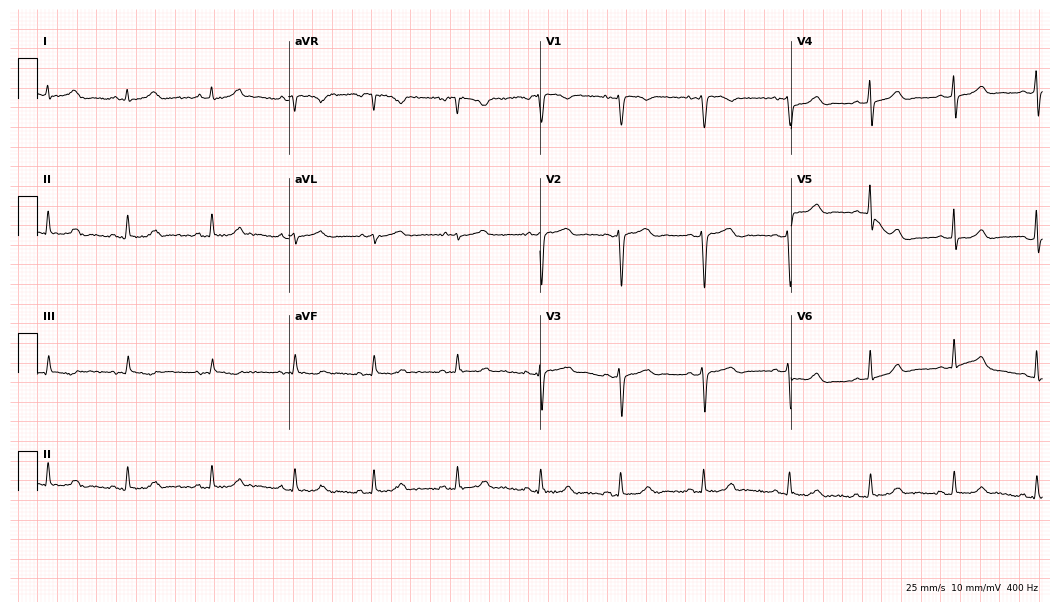
Electrocardiogram, a female, 43 years old. Overall reading on record: normal ECG.